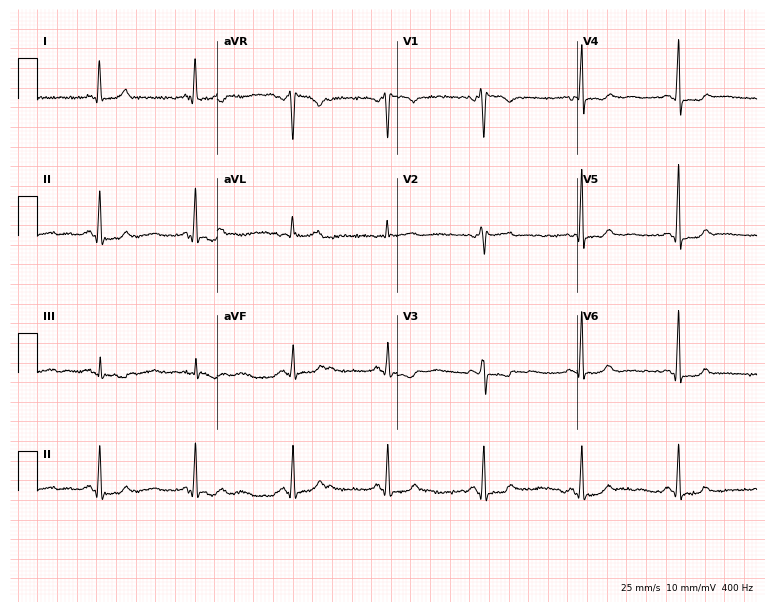
Resting 12-lead electrocardiogram. Patient: a female, 41 years old. None of these six findings is recorded: first-degree AV block, right bundle branch block (RBBB), left bundle branch block (LBBB), sinus bradycardia, atrial fibrillation (AF), sinus tachycardia.